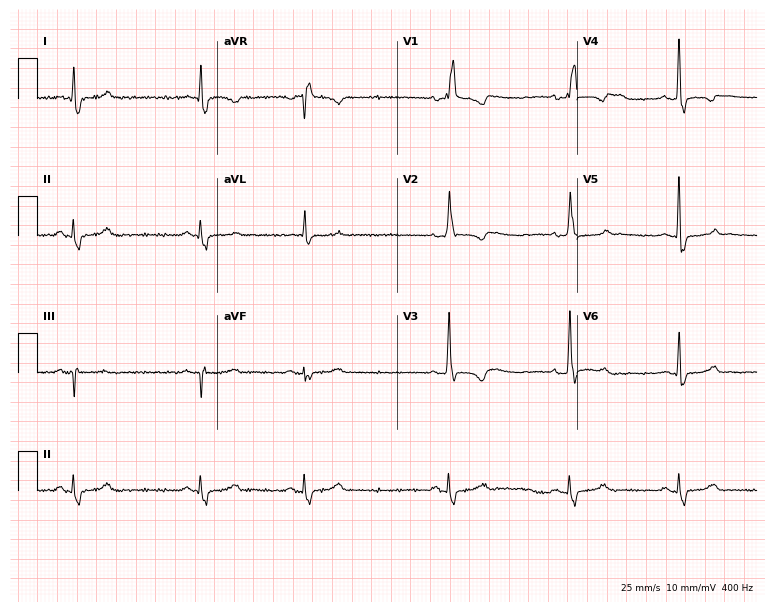
ECG (7.3-second recording at 400 Hz) — a male, 56 years old. Findings include right bundle branch block.